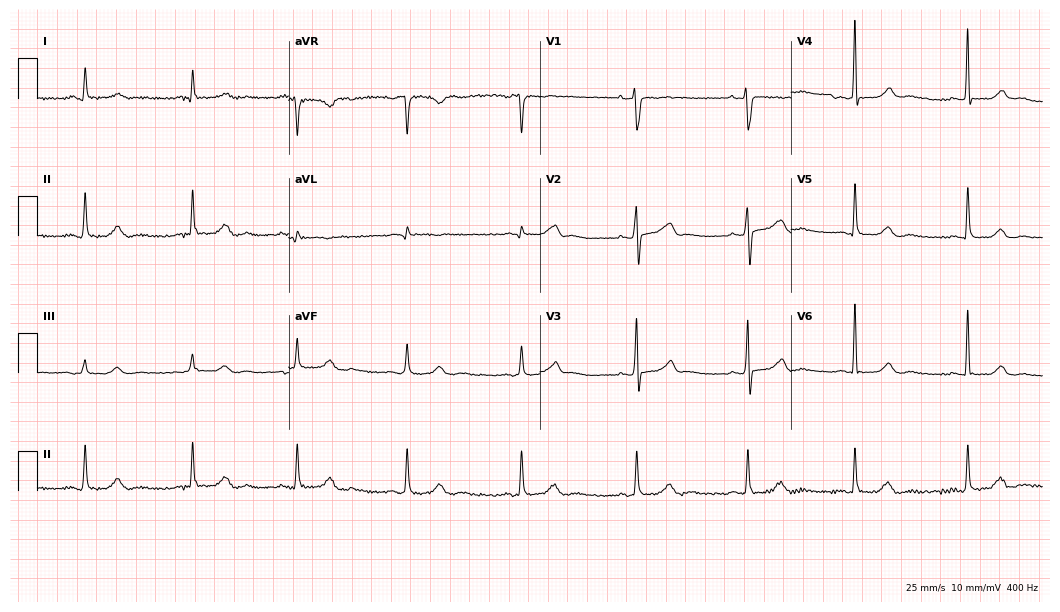
Electrocardiogram (10.2-second recording at 400 Hz), a 51-year-old female. Of the six screened findings (first-degree AV block, right bundle branch block (RBBB), left bundle branch block (LBBB), sinus bradycardia, atrial fibrillation (AF), sinus tachycardia), none is recorded.